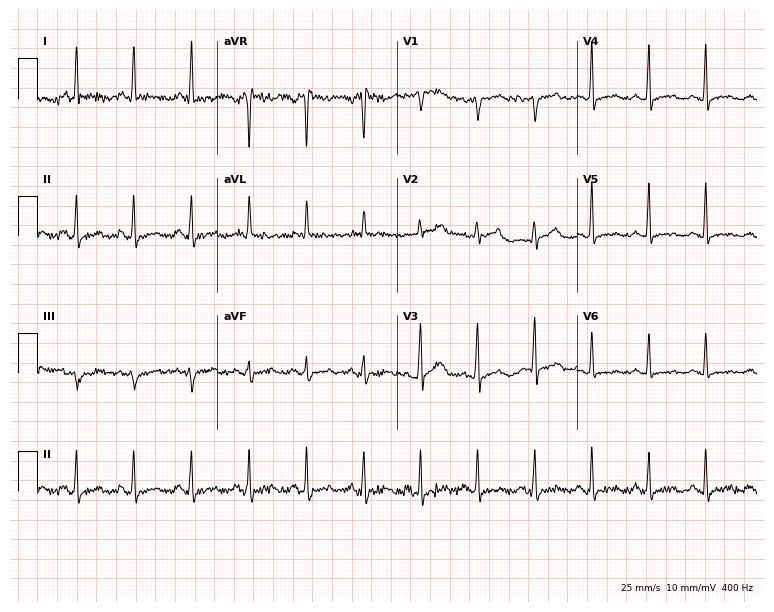
Resting 12-lead electrocardiogram. Patient: a female, 43 years old. The tracing shows sinus tachycardia (a sinus rate of 100 beats per minute or more).